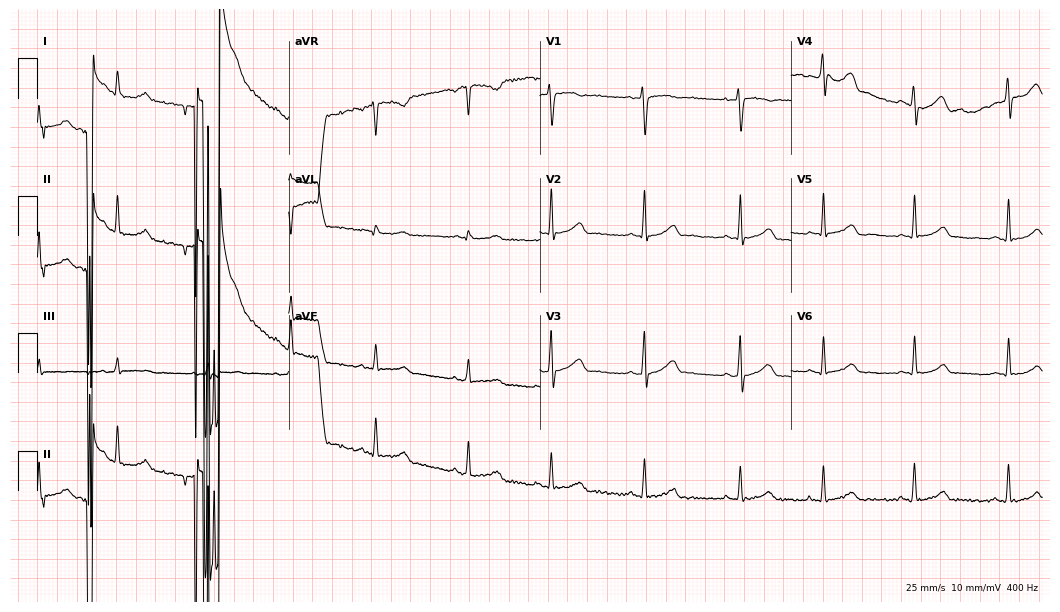
Electrocardiogram, a 31-year-old female. Of the six screened findings (first-degree AV block, right bundle branch block (RBBB), left bundle branch block (LBBB), sinus bradycardia, atrial fibrillation (AF), sinus tachycardia), none is recorded.